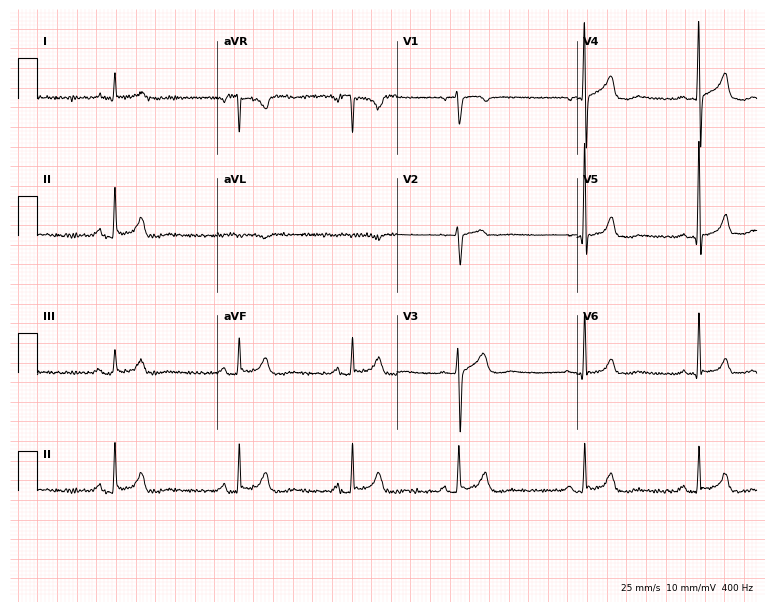
ECG (7.3-second recording at 400 Hz) — a male, 67 years old. Labelled as a normal ECG.